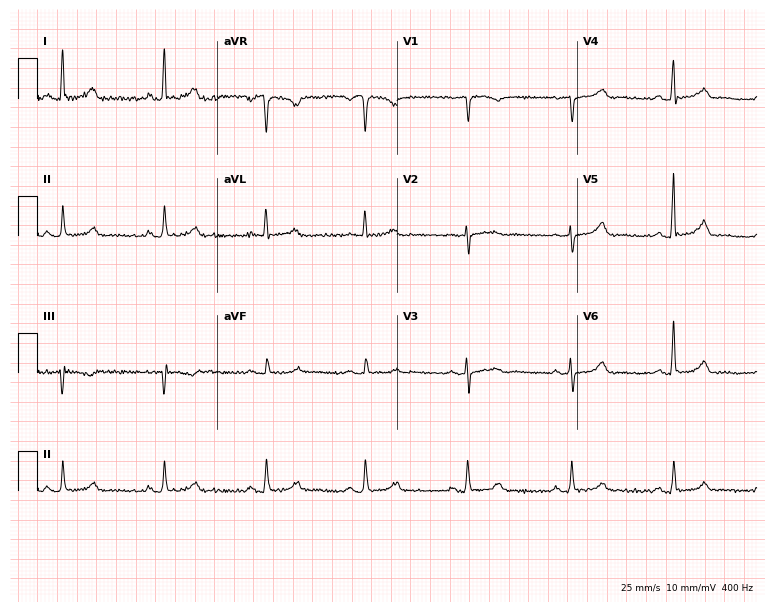
Electrocardiogram, a woman, 69 years old. Overall reading on record: normal ECG.